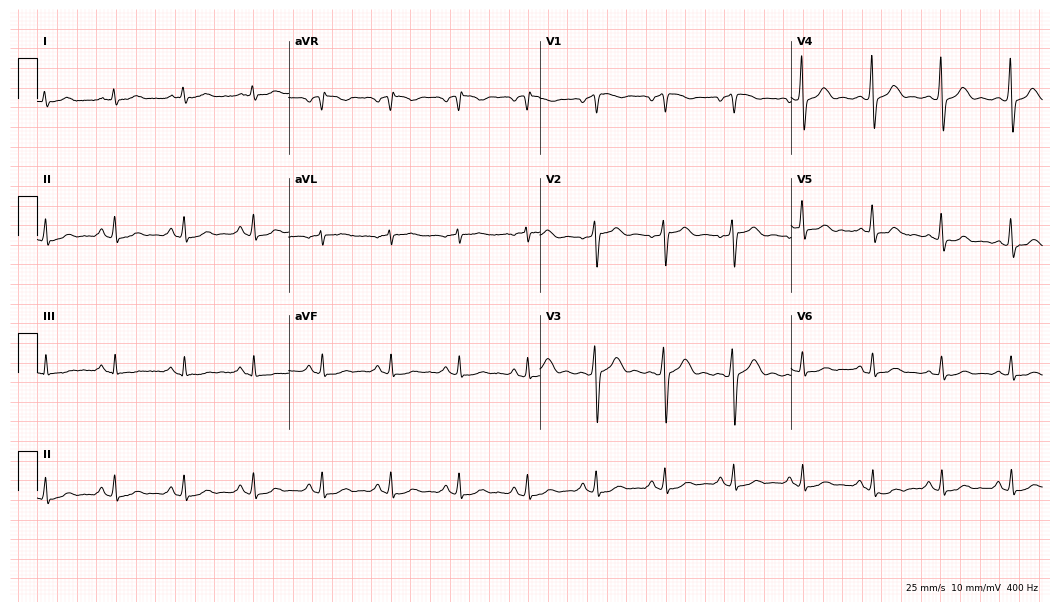
12-lead ECG from a 58-year-old male patient. No first-degree AV block, right bundle branch block (RBBB), left bundle branch block (LBBB), sinus bradycardia, atrial fibrillation (AF) or sinus tachycardia recorded for this tracing.